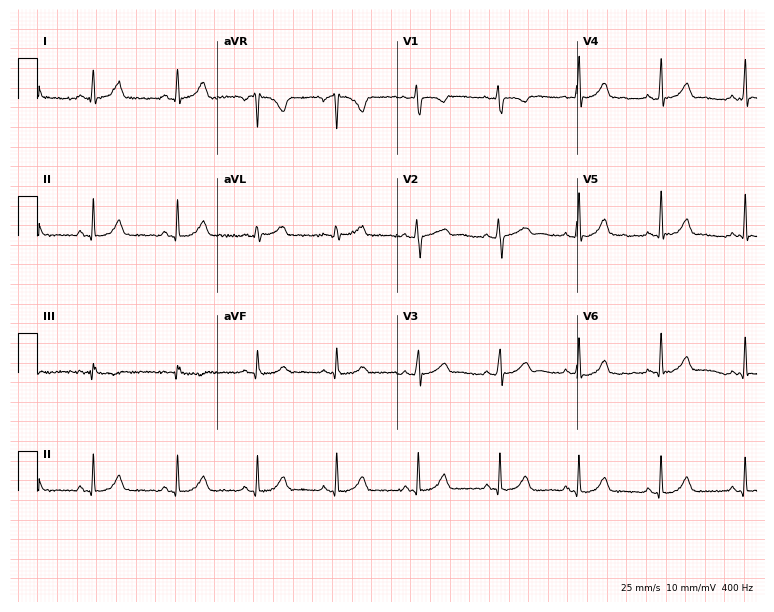
12-lead ECG (7.3-second recording at 400 Hz) from a female patient, 32 years old. Labelled as a normal ECG.